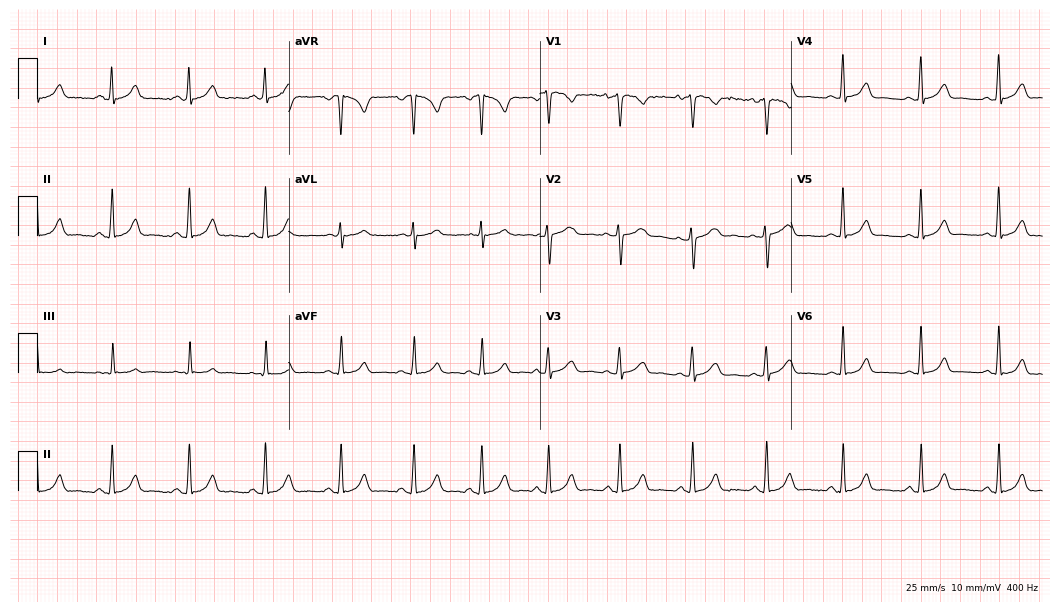
12-lead ECG from a 29-year-old female patient. No first-degree AV block, right bundle branch block, left bundle branch block, sinus bradycardia, atrial fibrillation or sinus tachycardia recorded for this tracing. Findings outside these six are not listed.